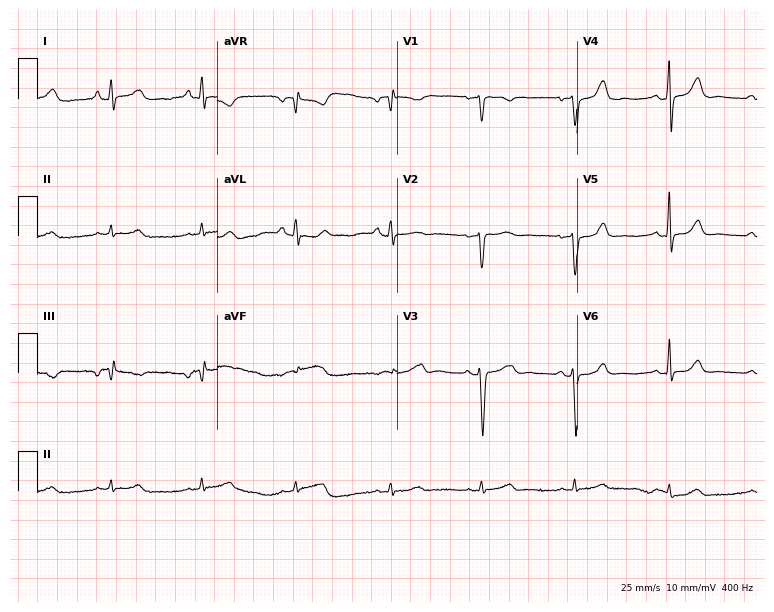
Standard 12-lead ECG recorded from a 60-year-old female. Read as a normal ECG.